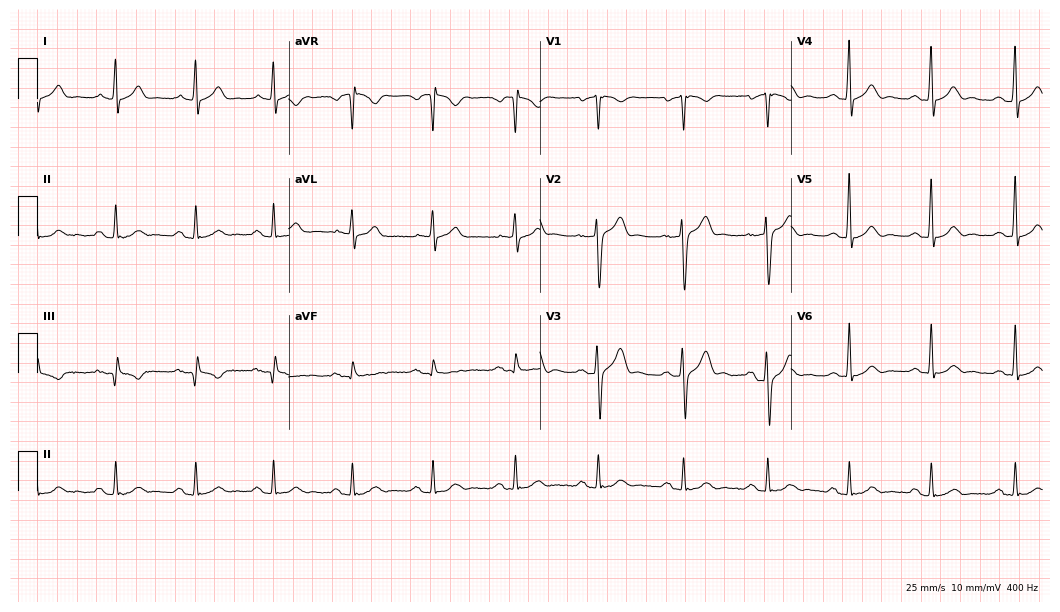
Standard 12-lead ECG recorded from a male patient, 46 years old. Read as a normal ECG.